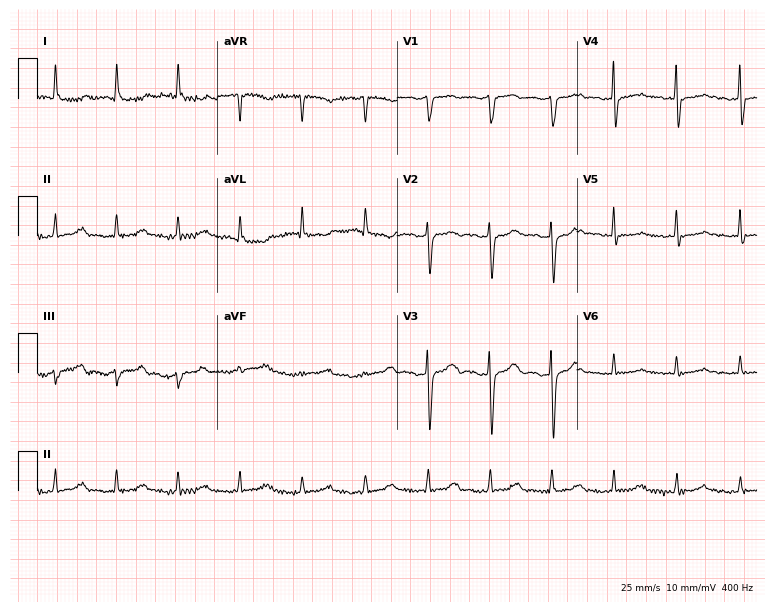
Standard 12-lead ECG recorded from a female patient, 81 years old. None of these six findings is recorded: first-degree AV block, right bundle branch block, left bundle branch block, sinus bradycardia, atrial fibrillation, sinus tachycardia. Only these six findings were labelled.